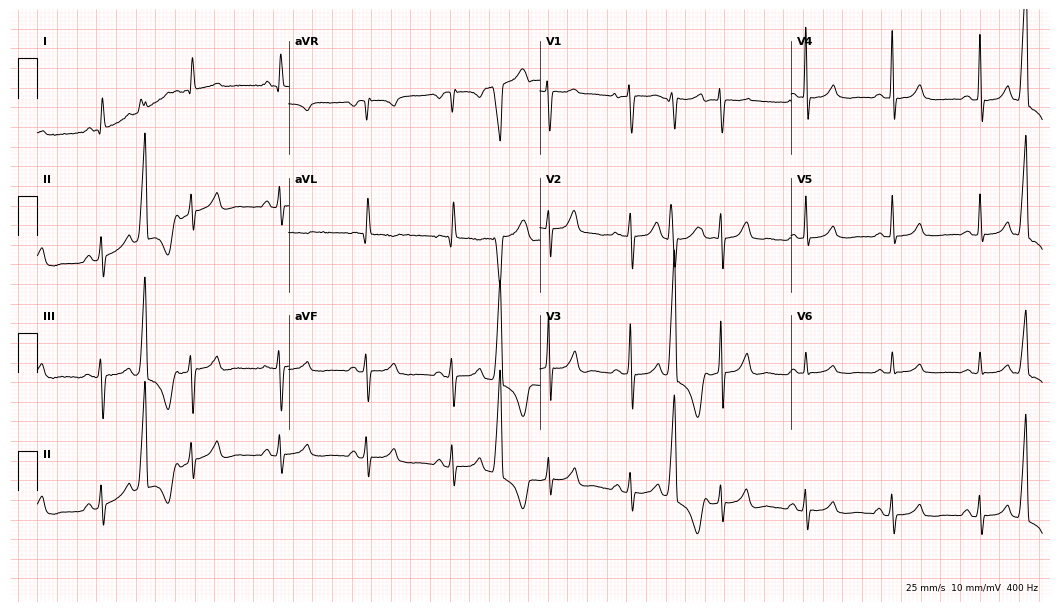
Resting 12-lead electrocardiogram (10.2-second recording at 400 Hz). Patient: a female, 67 years old. None of these six findings is recorded: first-degree AV block, right bundle branch block (RBBB), left bundle branch block (LBBB), sinus bradycardia, atrial fibrillation (AF), sinus tachycardia.